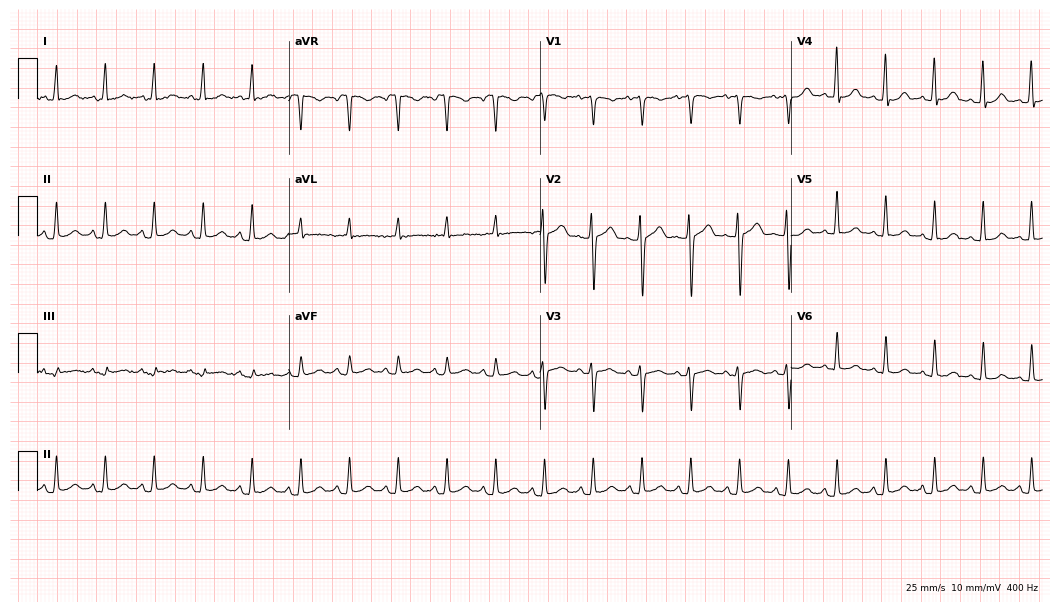
12-lead ECG (10.2-second recording at 400 Hz) from a female, 29 years old. Findings include sinus tachycardia (a sinus rate of 100 beats per minute or more).